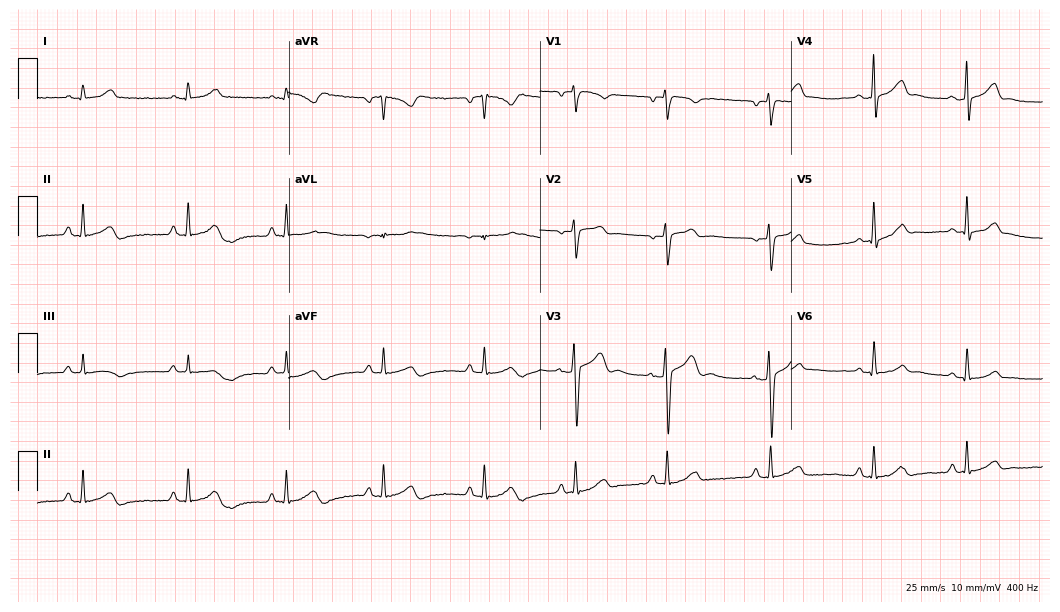
Standard 12-lead ECG recorded from a 32-year-old woman. Read as a normal ECG.